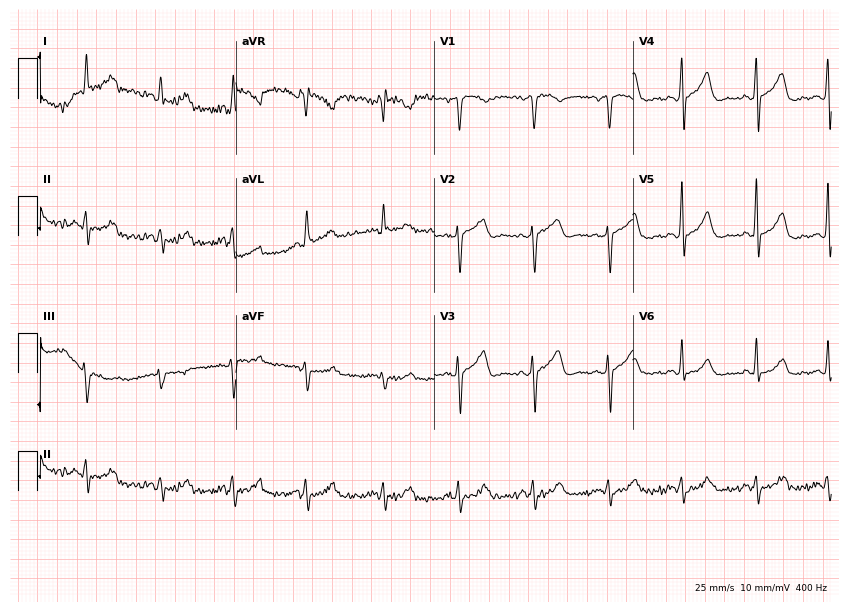
Electrocardiogram, a man, 64 years old. Overall reading on record: normal ECG.